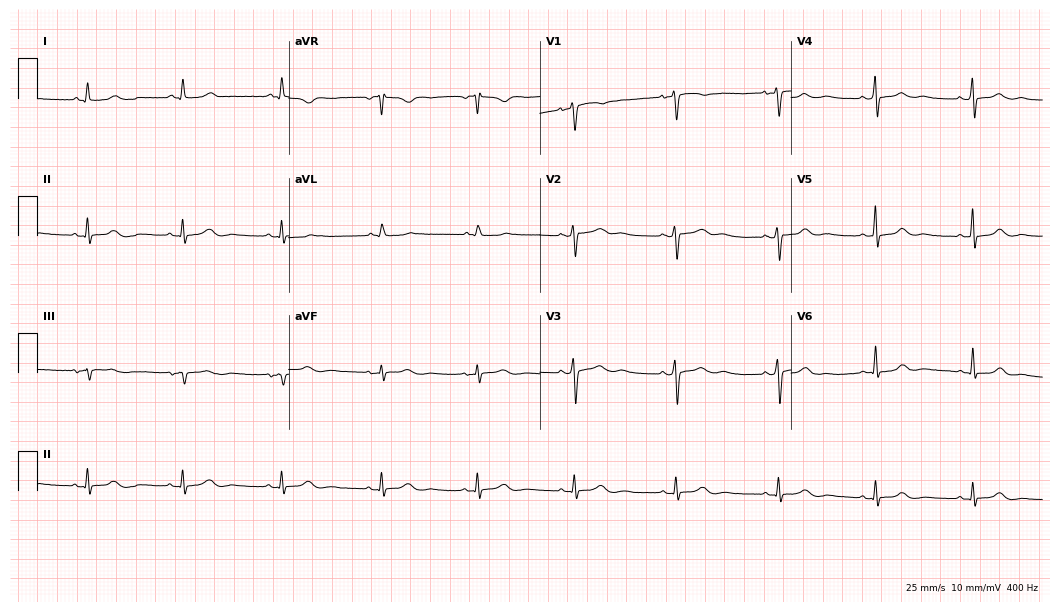
Standard 12-lead ECG recorded from a female patient, 49 years old (10.2-second recording at 400 Hz). Read as a normal ECG.